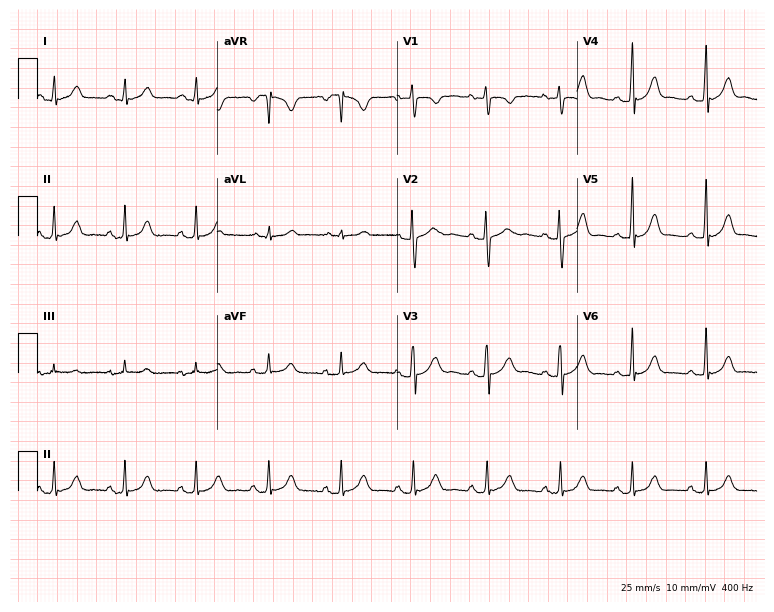
12-lead ECG (7.3-second recording at 400 Hz) from a 24-year-old female. Labelled as a normal ECG.